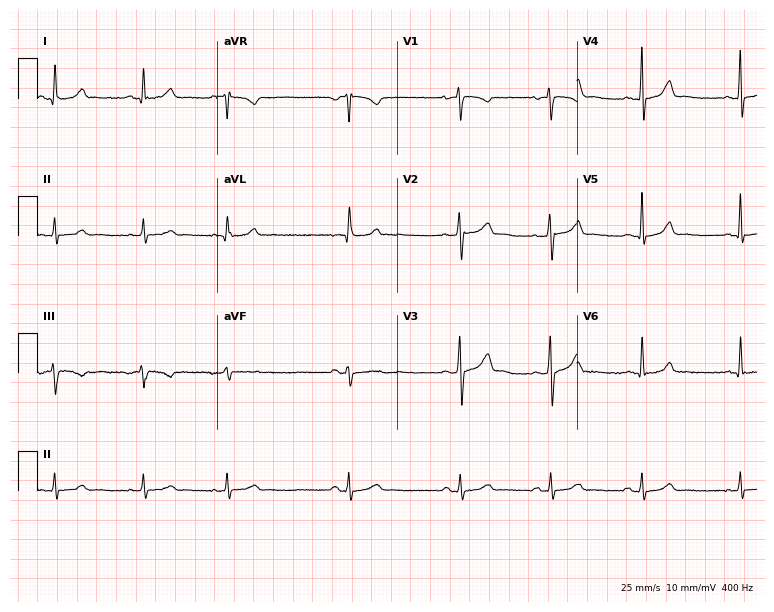
ECG — a female, 25 years old. Screened for six findings — first-degree AV block, right bundle branch block, left bundle branch block, sinus bradycardia, atrial fibrillation, sinus tachycardia — none is recorded.